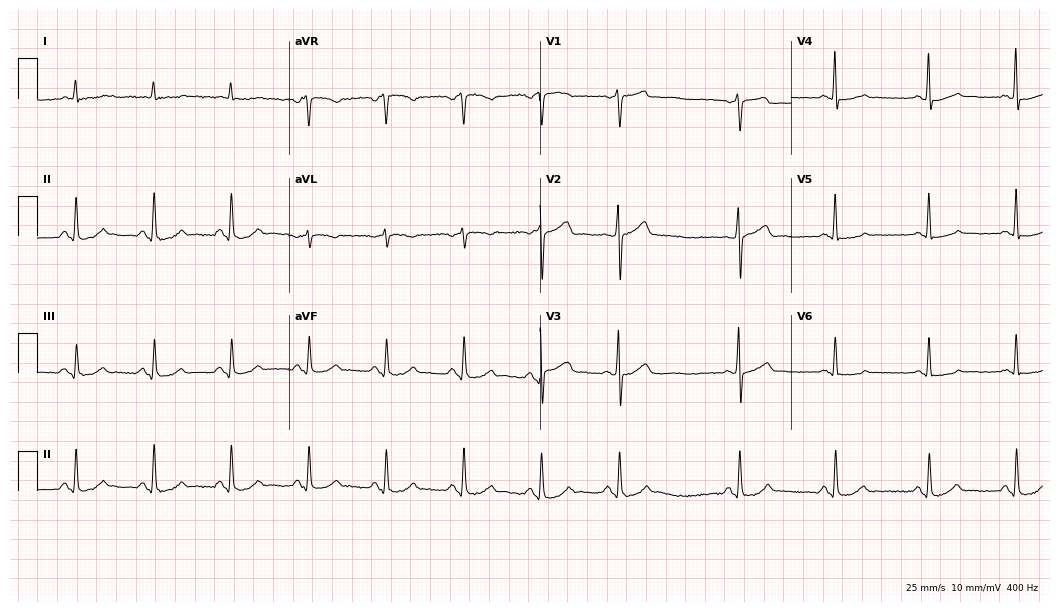
Standard 12-lead ECG recorded from a man, 75 years old (10.2-second recording at 400 Hz). Read as a normal ECG.